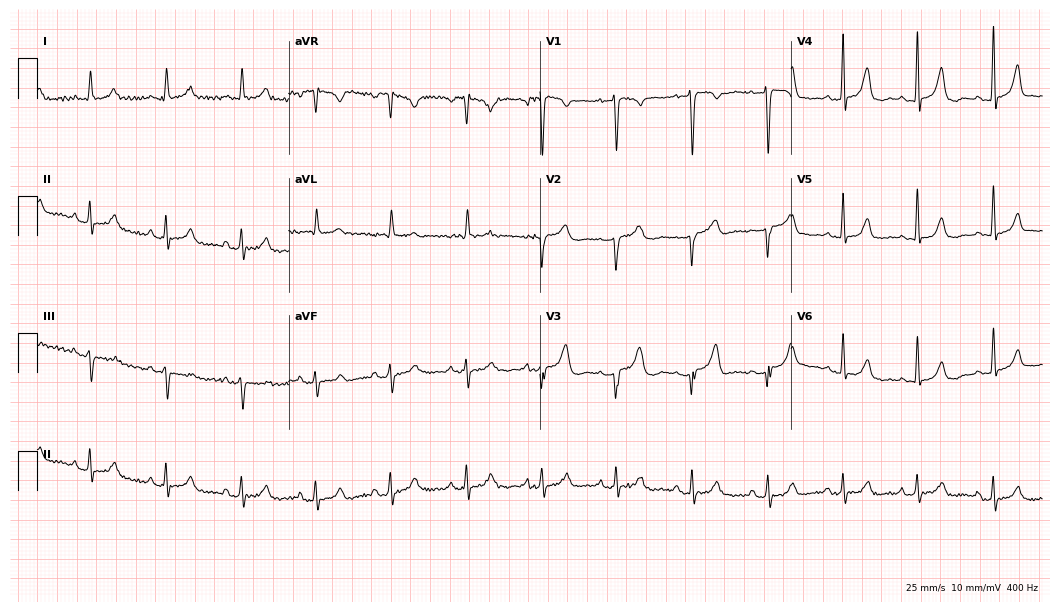
Resting 12-lead electrocardiogram (10.2-second recording at 400 Hz). Patient: a woman, 62 years old. None of these six findings is recorded: first-degree AV block, right bundle branch block, left bundle branch block, sinus bradycardia, atrial fibrillation, sinus tachycardia.